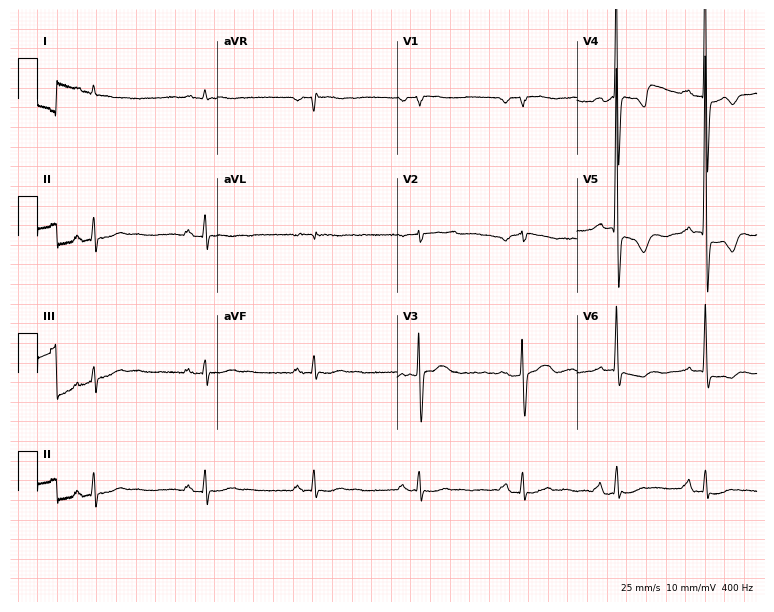
Resting 12-lead electrocardiogram (7.3-second recording at 400 Hz). Patient: a male, 76 years old. None of these six findings is recorded: first-degree AV block, right bundle branch block (RBBB), left bundle branch block (LBBB), sinus bradycardia, atrial fibrillation (AF), sinus tachycardia. Other findings, if any, are not listed.